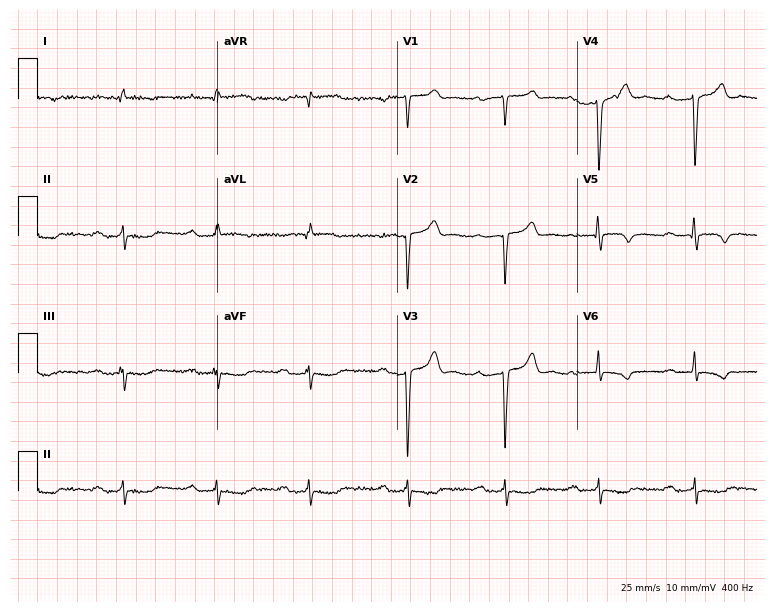
Electrocardiogram (7.3-second recording at 400 Hz), a 65-year-old man. Interpretation includes first-degree AV block.